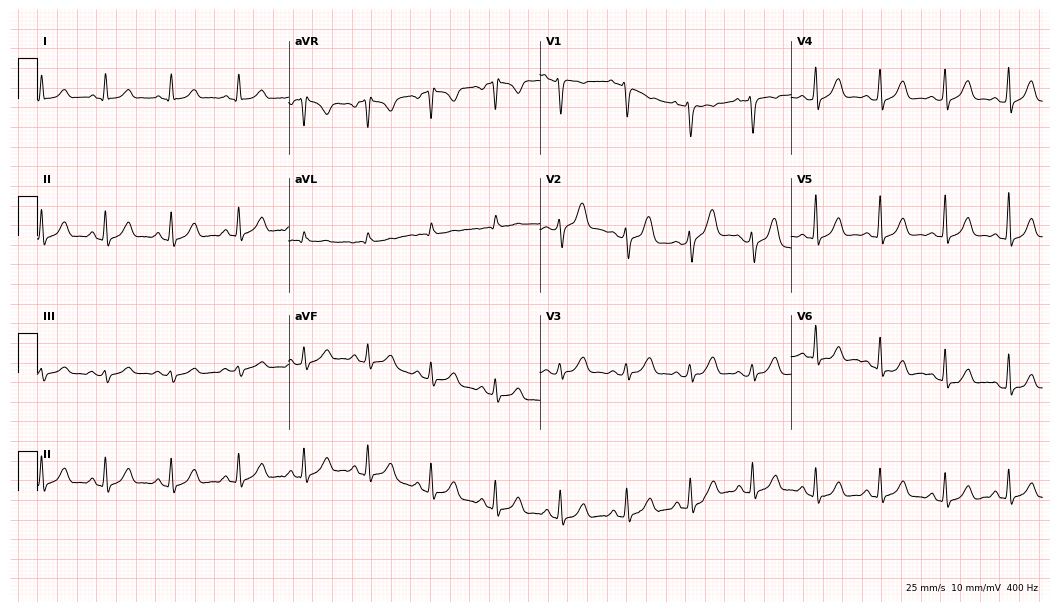
Standard 12-lead ECG recorded from a woman, 41 years old. Read as a normal ECG.